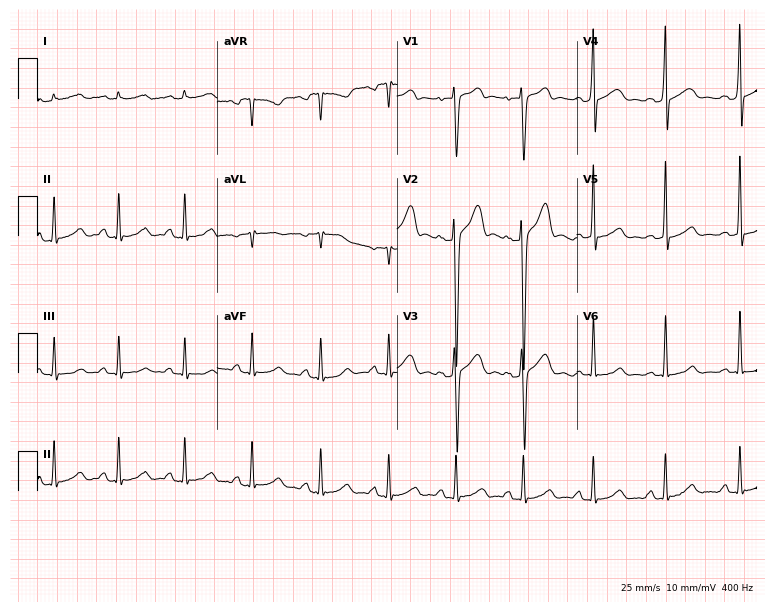
Electrocardiogram (7.3-second recording at 400 Hz), a male patient, 24 years old. Of the six screened findings (first-degree AV block, right bundle branch block (RBBB), left bundle branch block (LBBB), sinus bradycardia, atrial fibrillation (AF), sinus tachycardia), none is recorded. Findings outside these six are not listed.